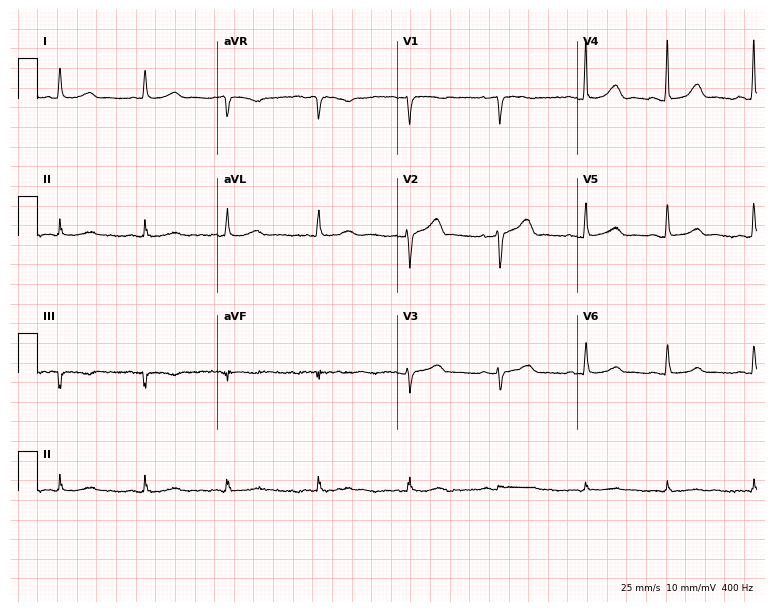
Electrocardiogram, a female patient, 85 years old. Overall reading on record: normal ECG.